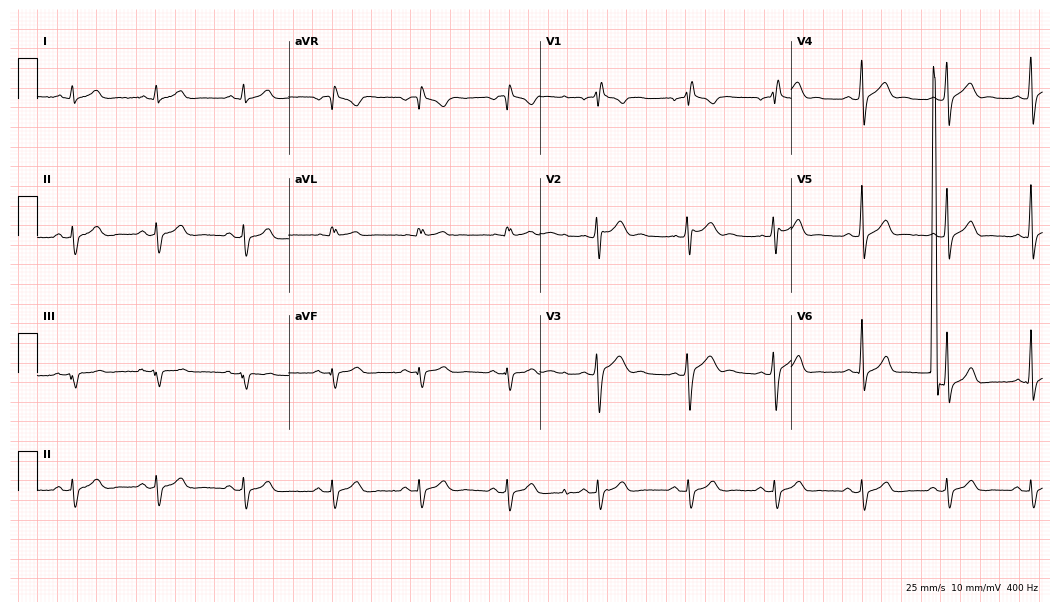
Electrocardiogram (10.2-second recording at 400 Hz), a 22-year-old male. Of the six screened findings (first-degree AV block, right bundle branch block (RBBB), left bundle branch block (LBBB), sinus bradycardia, atrial fibrillation (AF), sinus tachycardia), none is recorded.